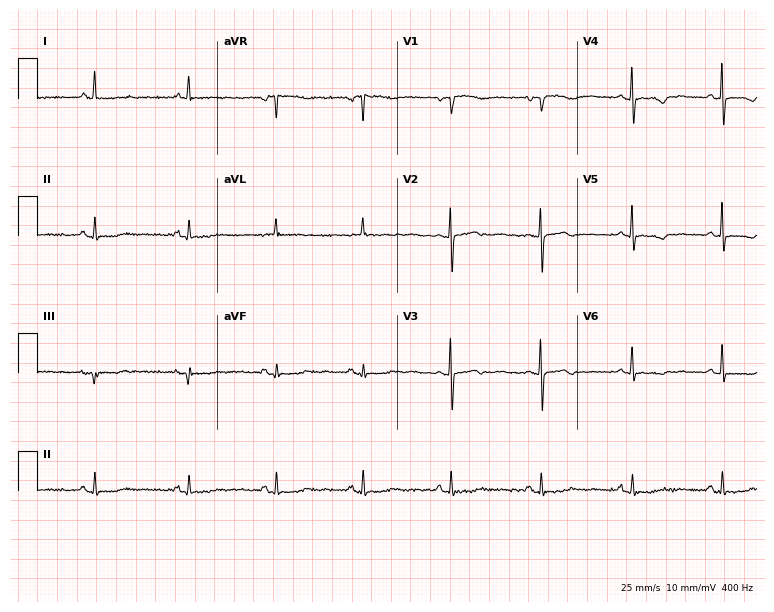
Electrocardiogram (7.3-second recording at 400 Hz), a female patient, 71 years old. Of the six screened findings (first-degree AV block, right bundle branch block, left bundle branch block, sinus bradycardia, atrial fibrillation, sinus tachycardia), none is recorded.